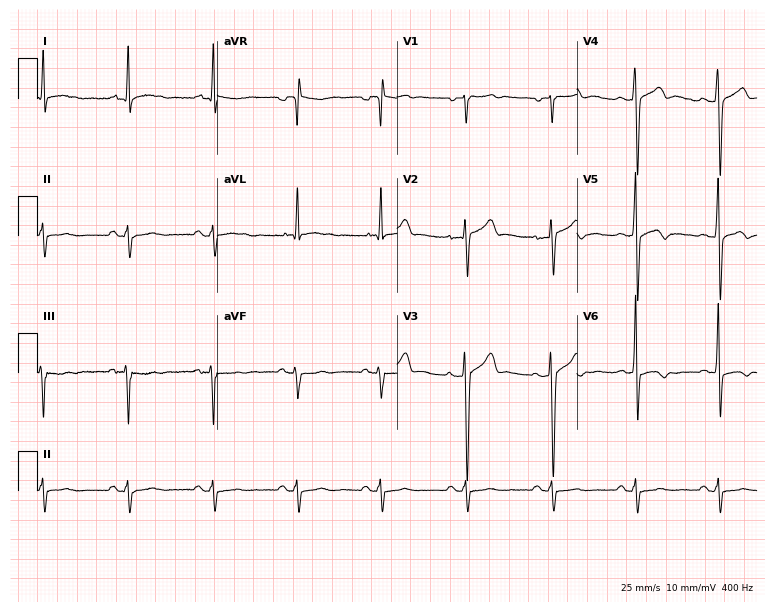
ECG (7.3-second recording at 400 Hz) — a 48-year-old female. Screened for six findings — first-degree AV block, right bundle branch block, left bundle branch block, sinus bradycardia, atrial fibrillation, sinus tachycardia — none is recorded.